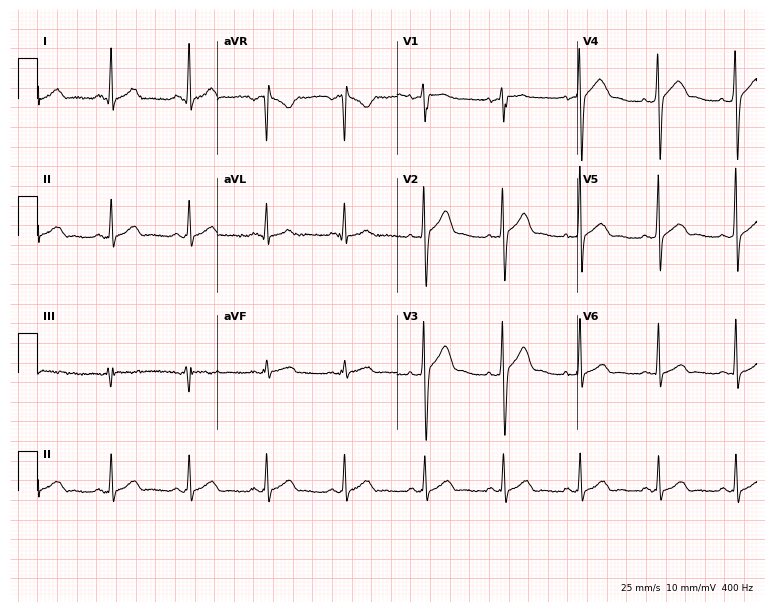
Resting 12-lead electrocardiogram (7.3-second recording at 400 Hz). Patient: a man, 27 years old. Read as a normal ECG.